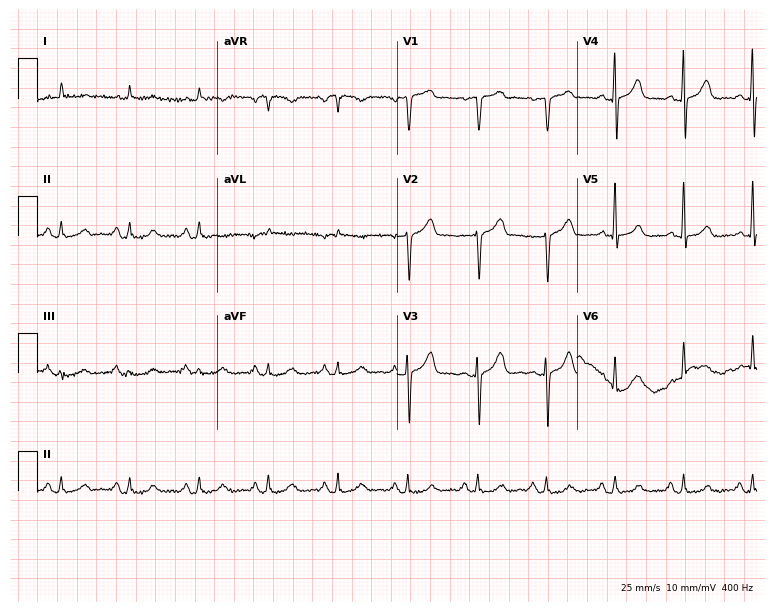
Standard 12-lead ECG recorded from an 83-year-old man. Read as a normal ECG.